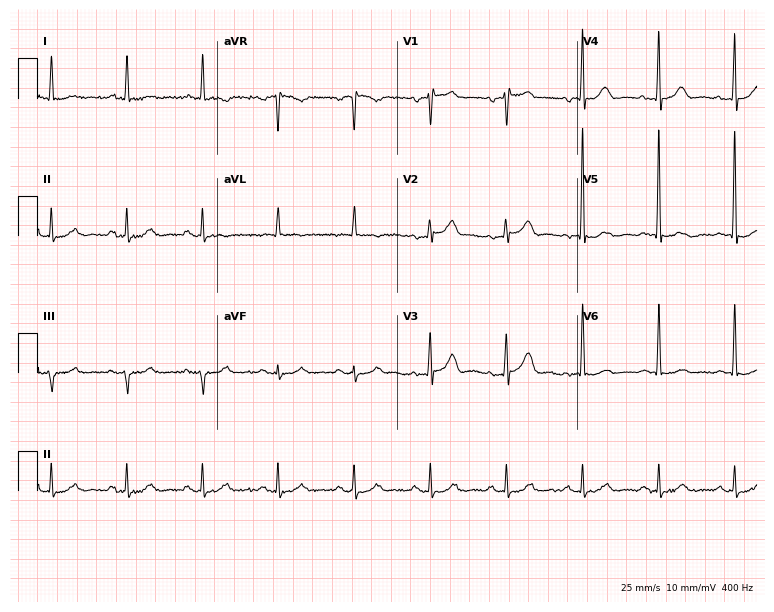
12-lead ECG from a 72-year-old male. Screened for six findings — first-degree AV block, right bundle branch block, left bundle branch block, sinus bradycardia, atrial fibrillation, sinus tachycardia — none is recorded.